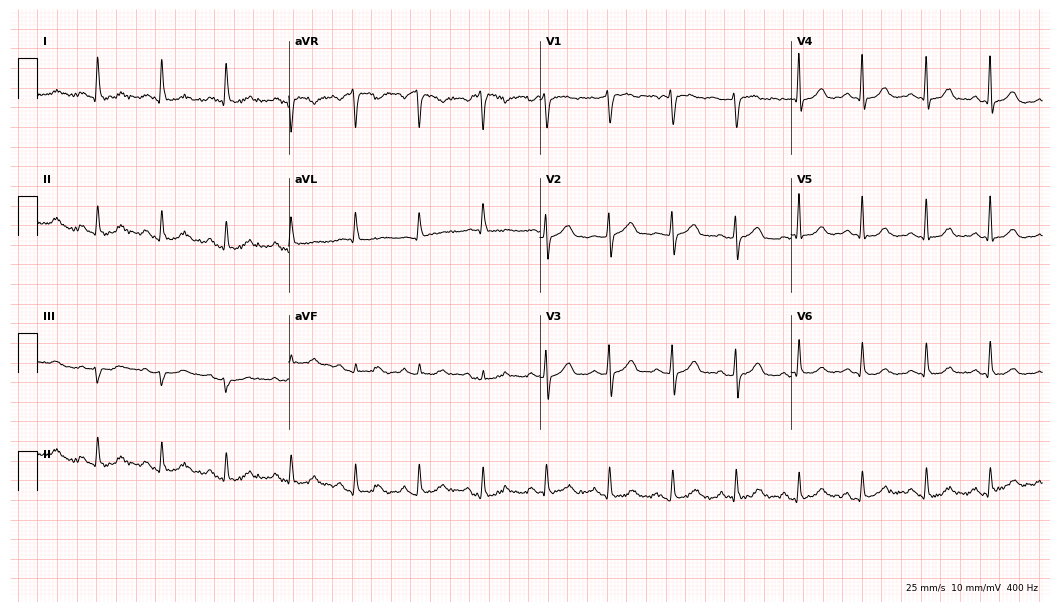
12-lead ECG from a 57-year-old female patient (10.2-second recording at 400 Hz). Recorded interpretation: within normal limits.